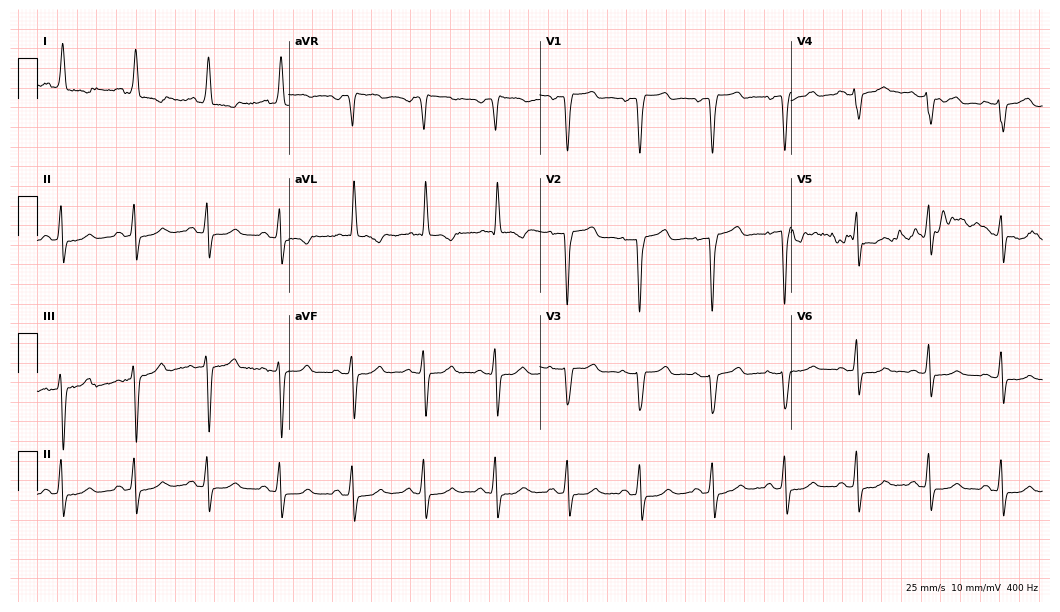
Standard 12-lead ECG recorded from a female, 82 years old (10.2-second recording at 400 Hz). None of these six findings is recorded: first-degree AV block, right bundle branch block, left bundle branch block, sinus bradycardia, atrial fibrillation, sinus tachycardia. Findings outside these six are not listed.